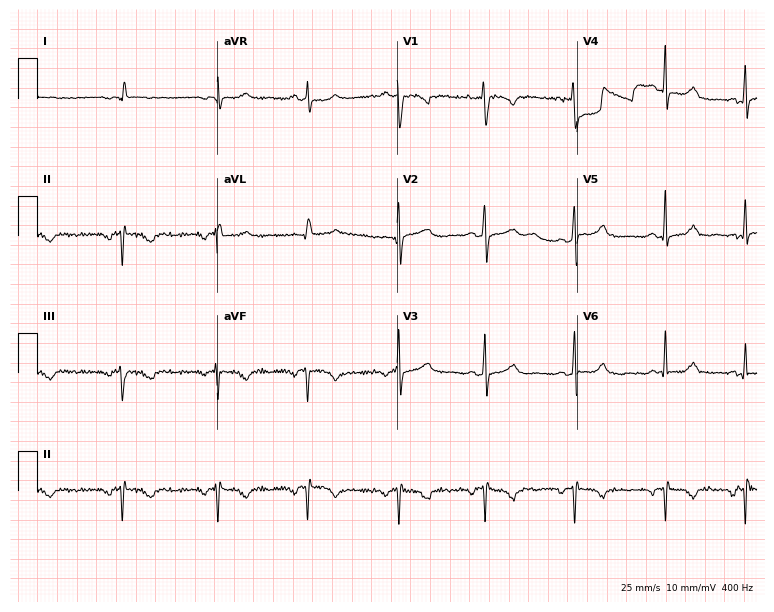
Electrocardiogram, a female patient, 34 years old. Of the six screened findings (first-degree AV block, right bundle branch block, left bundle branch block, sinus bradycardia, atrial fibrillation, sinus tachycardia), none is recorded.